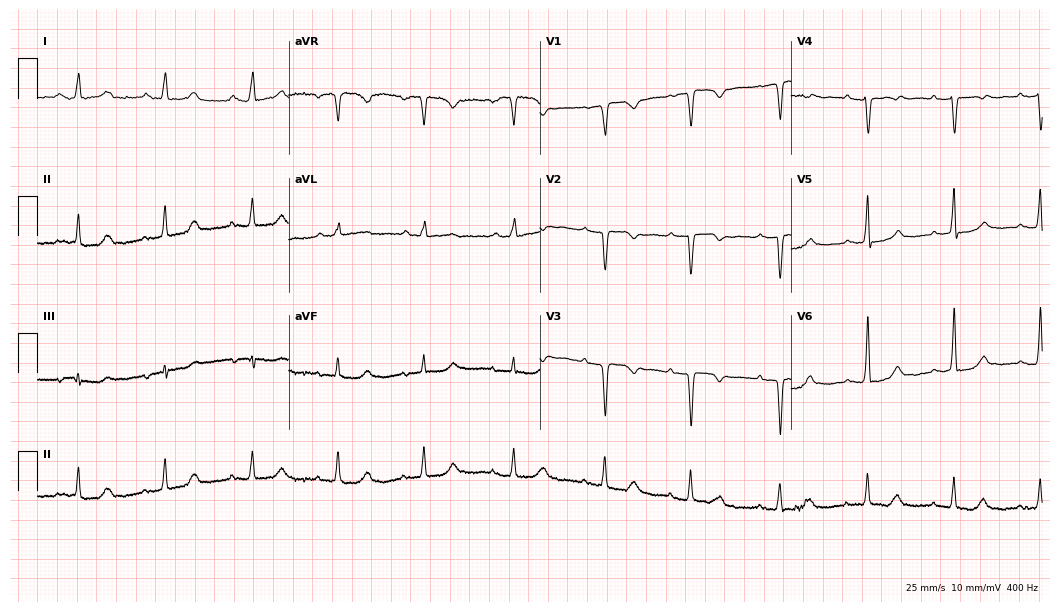
ECG (10.2-second recording at 400 Hz) — a female patient, 72 years old. Screened for six findings — first-degree AV block, right bundle branch block, left bundle branch block, sinus bradycardia, atrial fibrillation, sinus tachycardia — none is recorded. Findings outside these six are not listed.